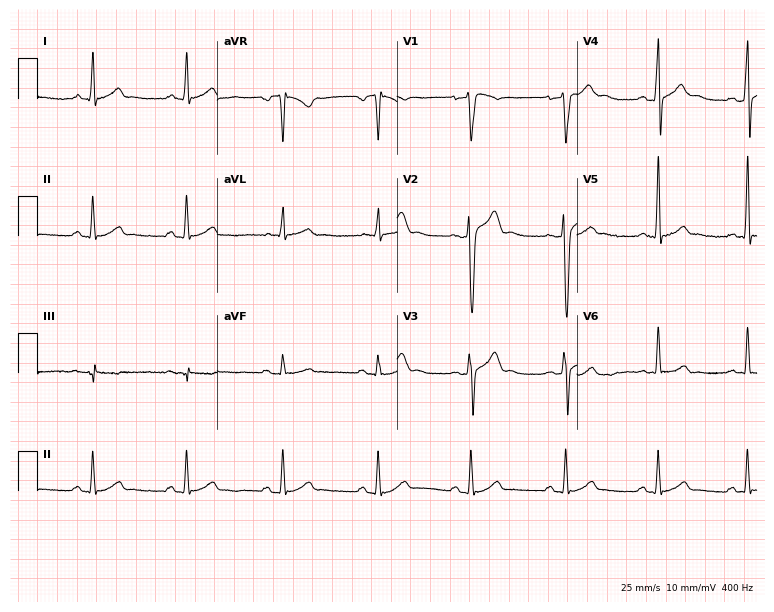
12-lead ECG from a 25-year-old man. Labelled as a normal ECG.